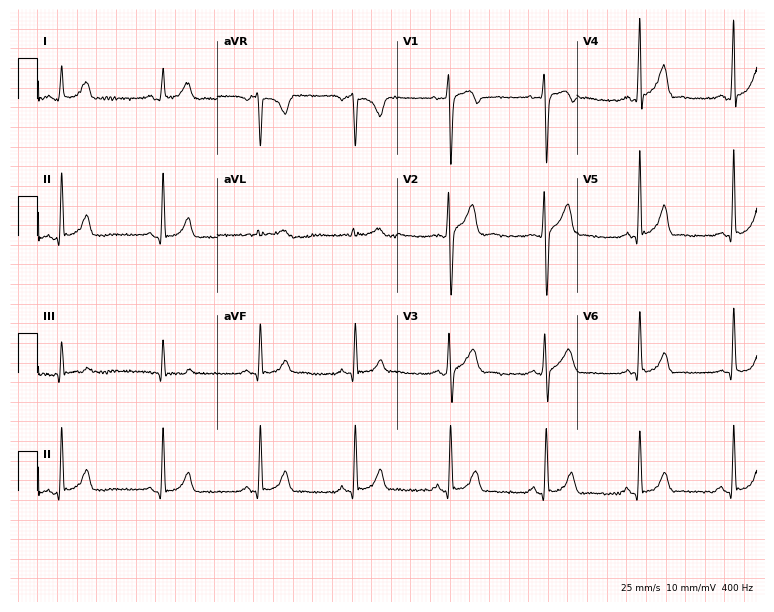
ECG — a male patient, 21 years old. Labelled as a normal ECG.